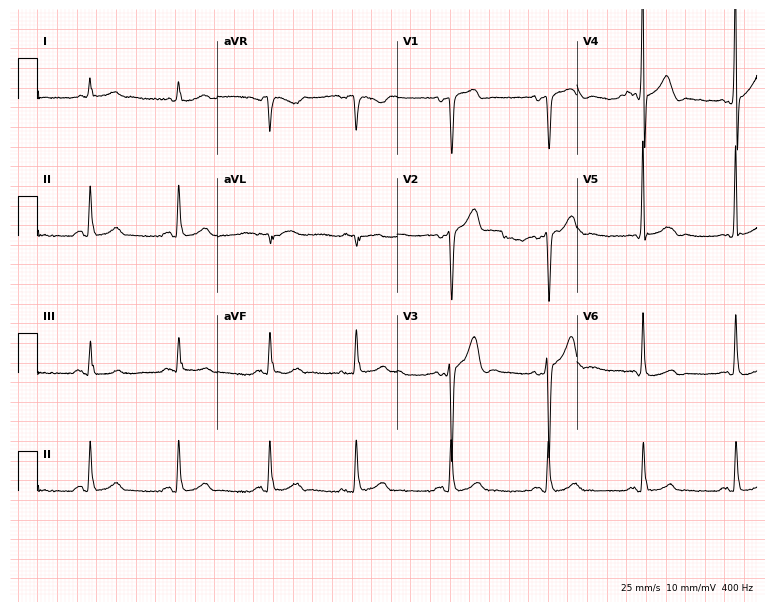
12-lead ECG from a male, 67 years old (7.3-second recording at 400 Hz). No first-degree AV block, right bundle branch block, left bundle branch block, sinus bradycardia, atrial fibrillation or sinus tachycardia recorded for this tracing.